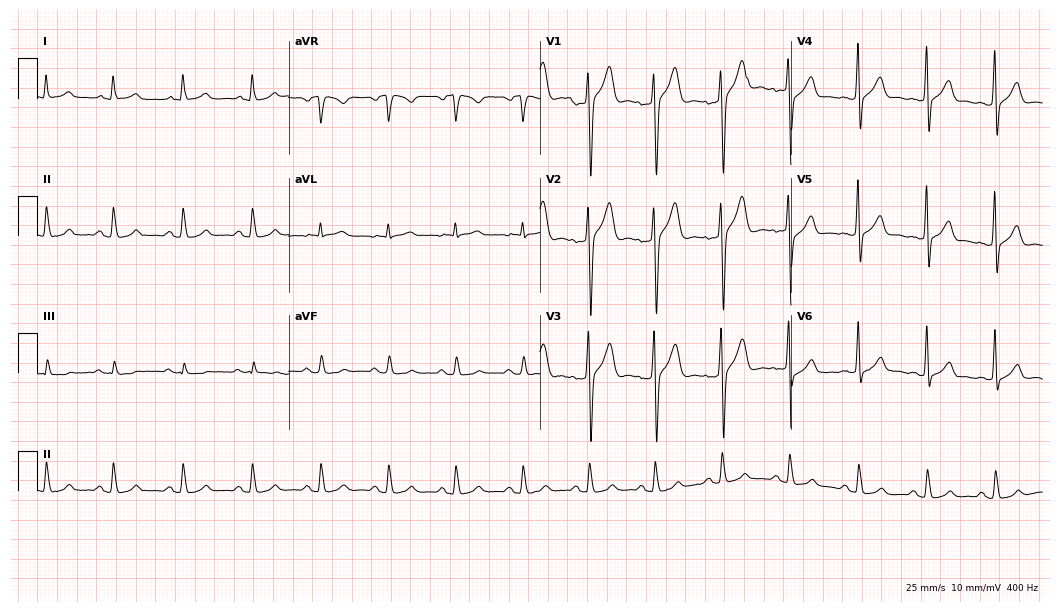
ECG (10.2-second recording at 400 Hz) — a 37-year-old man. Labelled as a normal ECG.